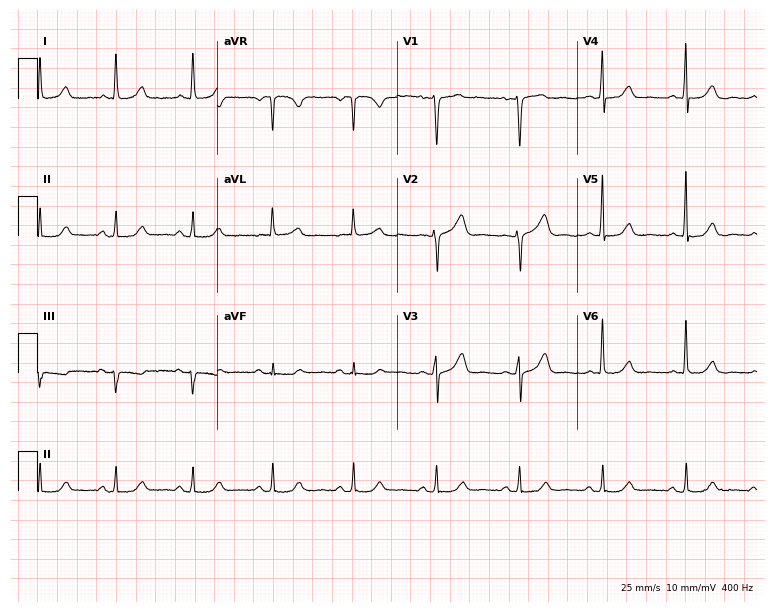
Resting 12-lead electrocardiogram. Patient: a female, 61 years old. Read as a normal ECG.